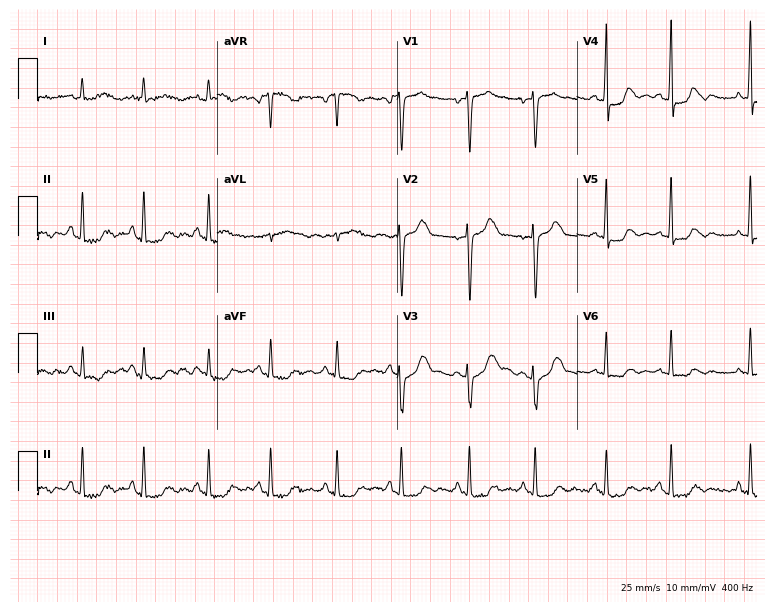
12-lead ECG from a 49-year-old woman. No first-degree AV block, right bundle branch block, left bundle branch block, sinus bradycardia, atrial fibrillation or sinus tachycardia recorded for this tracing. Only these six findings were labelled.